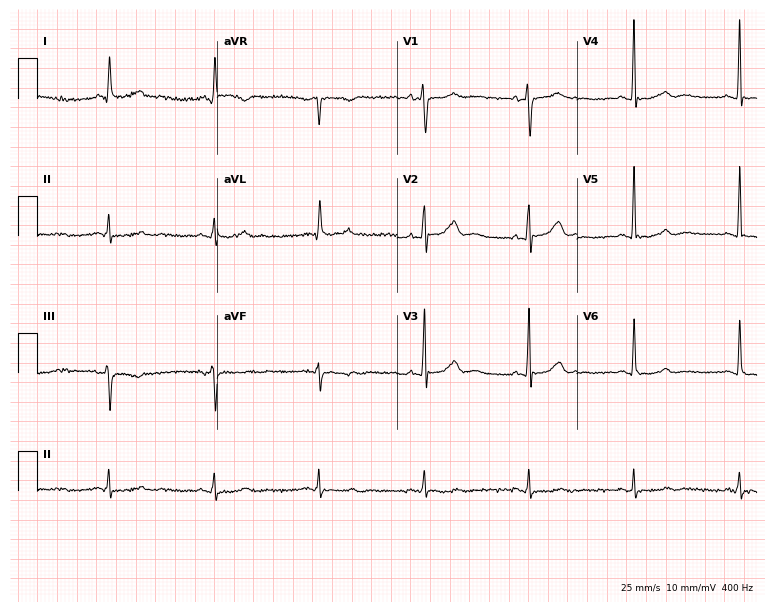
12-lead ECG from a 59-year-old woman. Screened for six findings — first-degree AV block, right bundle branch block, left bundle branch block, sinus bradycardia, atrial fibrillation, sinus tachycardia — none is recorded. Findings outside these six are not listed.